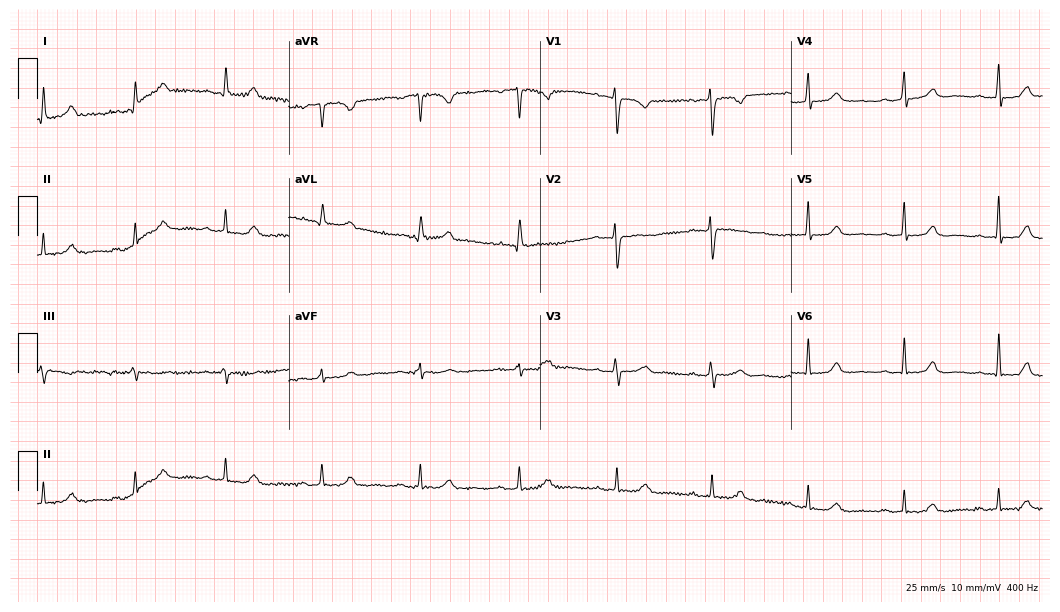
Standard 12-lead ECG recorded from a 44-year-old woman. Read as a normal ECG.